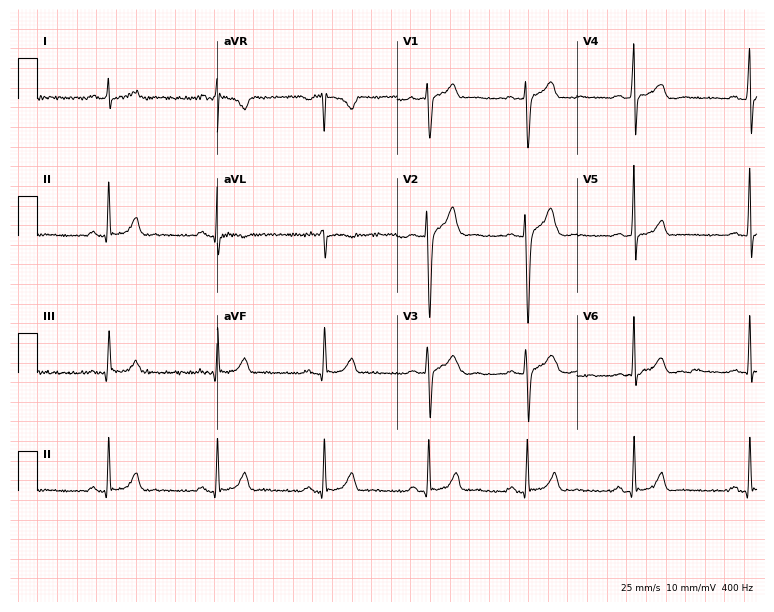
12-lead ECG from a 21-year-old man. Recorded interpretation: within normal limits.